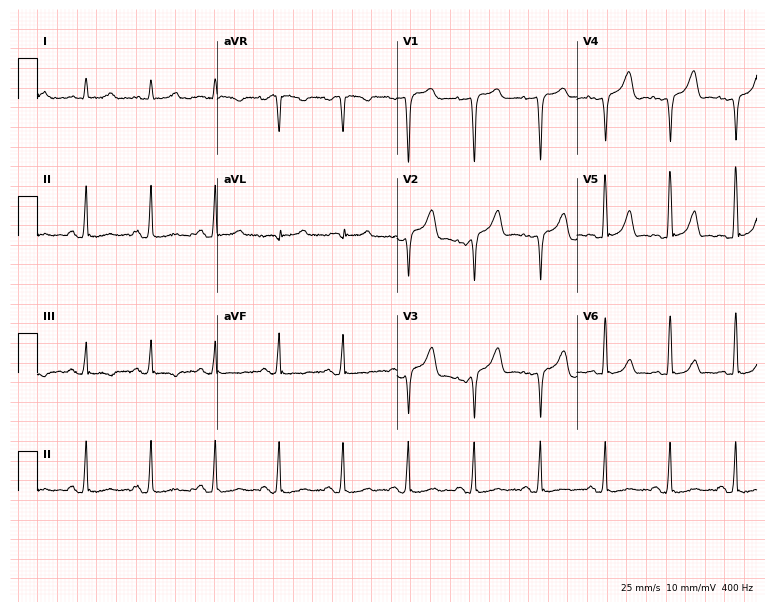
12-lead ECG (7.3-second recording at 400 Hz) from a male patient, 47 years old. Screened for six findings — first-degree AV block, right bundle branch block, left bundle branch block, sinus bradycardia, atrial fibrillation, sinus tachycardia — none is recorded.